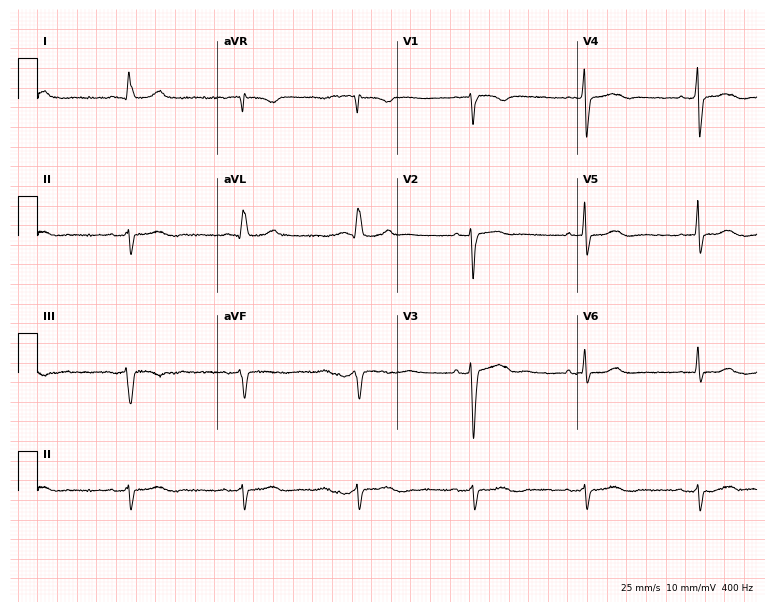
Standard 12-lead ECG recorded from a 76-year-old woman. None of these six findings is recorded: first-degree AV block, right bundle branch block, left bundle branch block, sinus bradycardia, atrial fibrillation, sinus tachycardia.